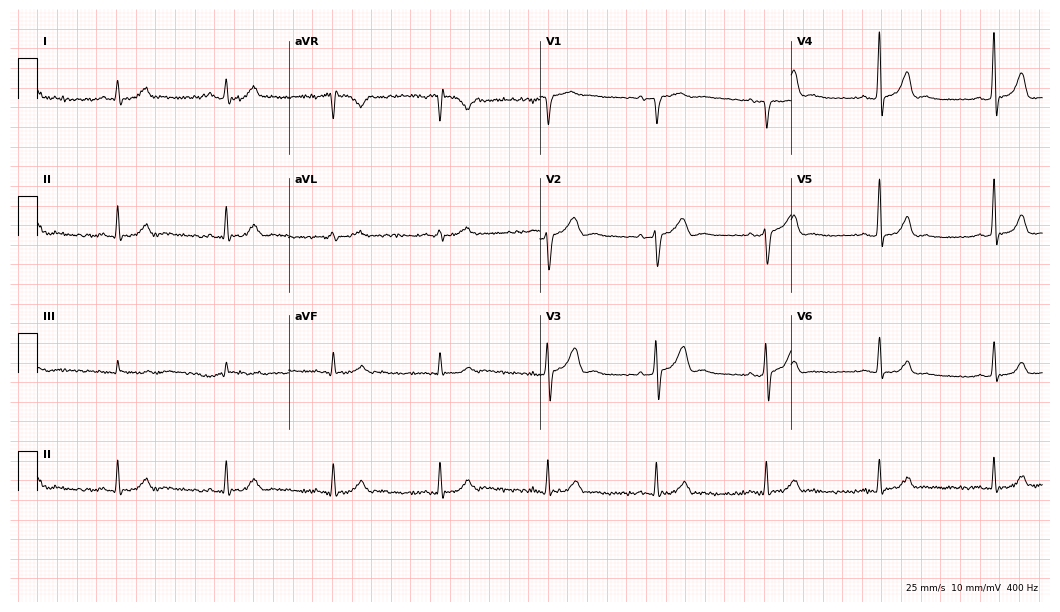
Electrocardiogram, a 76-year-old male. Overall reading on record: normal ECG.